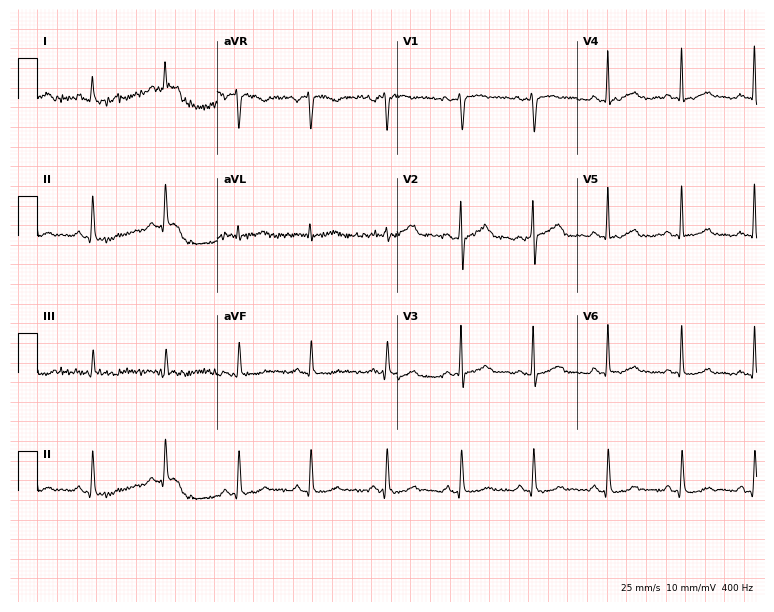
12-lead ECG from a 33-year-old woman. Screened for six findings — first-degree AV block, right bundle branch block (RBBB), left bundle branch block (LBBB), sinus bradycardia, atrial fibrillation (AF), sinus tachycardia — none is recorded.